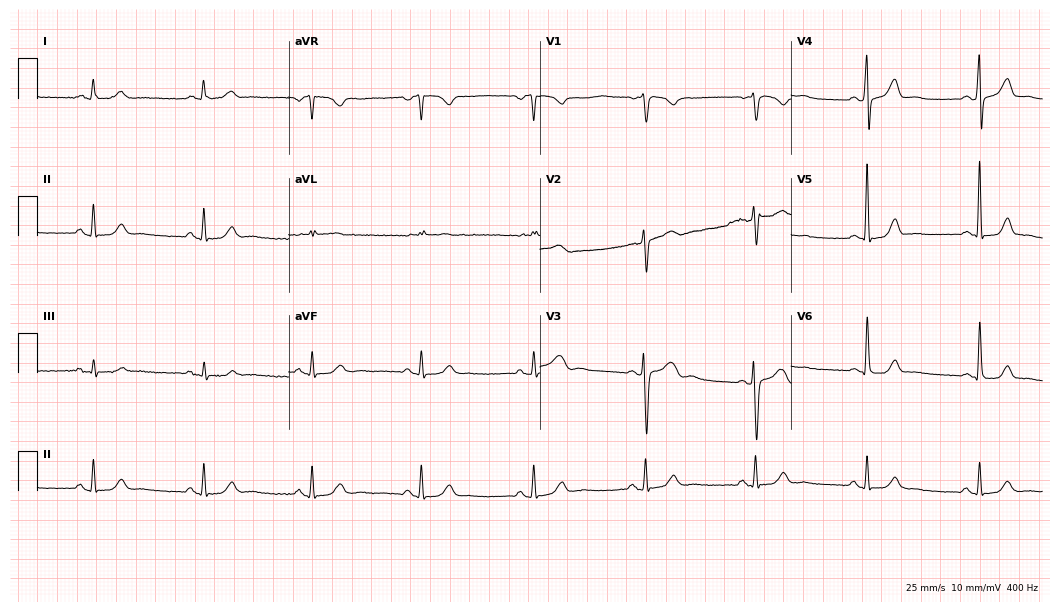
Resting 12-lead electrocardiogram (10.2-second recording at 400 Hz). Patient: a man, 52 years old. Read as a normal ECG.